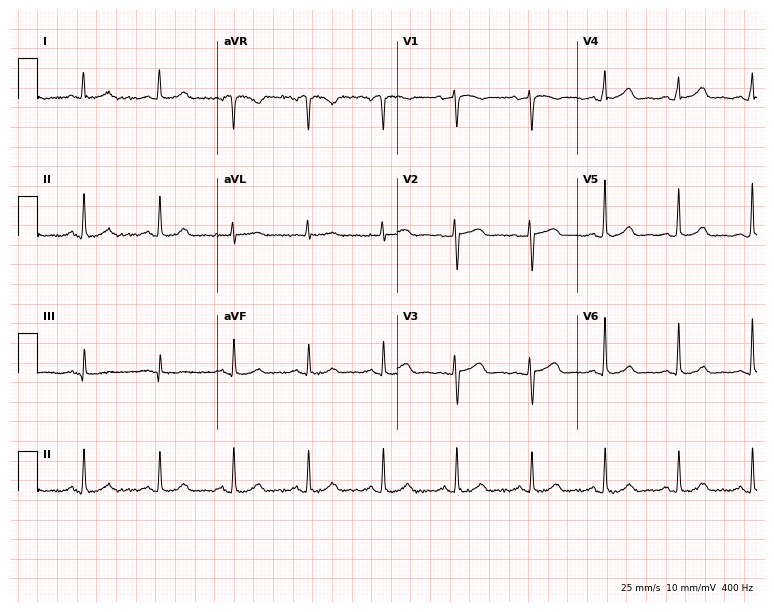
ECG (7.3-second recording at 400 Hz) — a 49-year-old female patient. Labelled as a normal ECG.